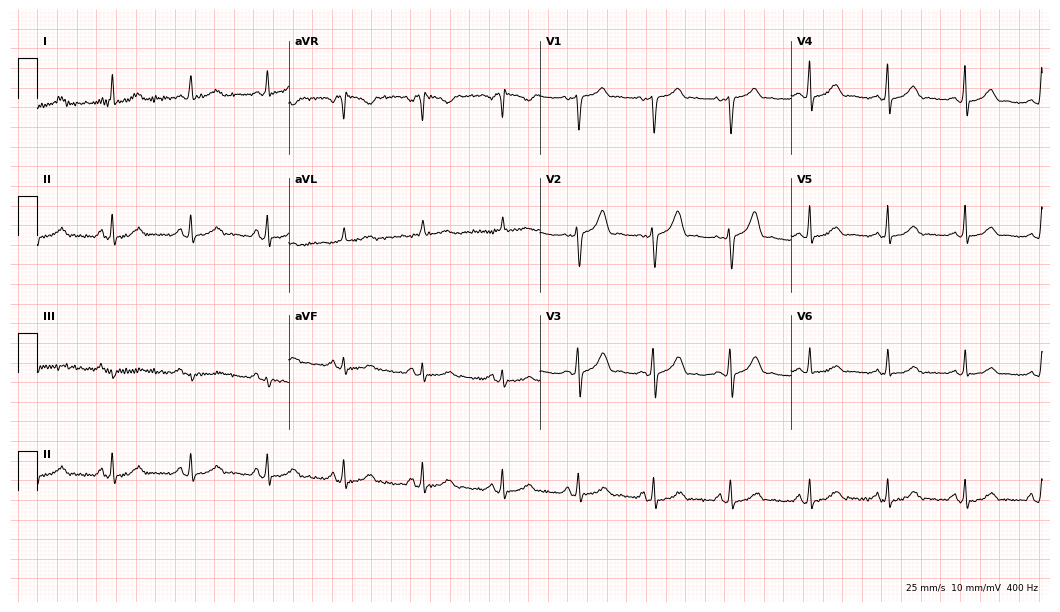
Resting 12-lead electrocardiogram (10.2-second recording at 400 Hz). Patient: a woman, 38 years old. Read as a normal ECG.